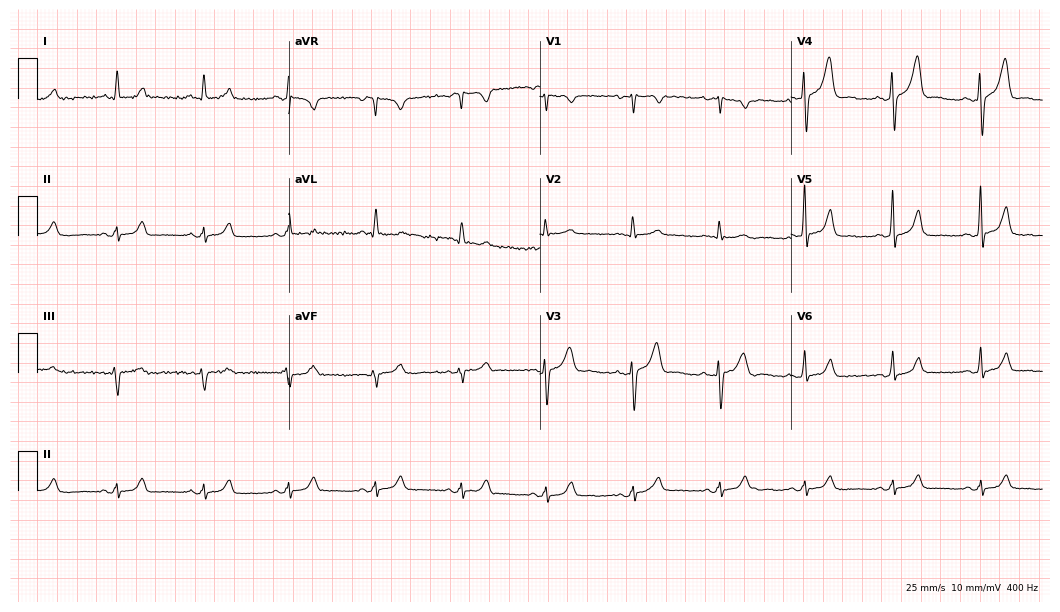
Electrocardiogram (10.2-second recording at 400 Hz), a male, 52 years old. Overall reading on record: normal ECG.